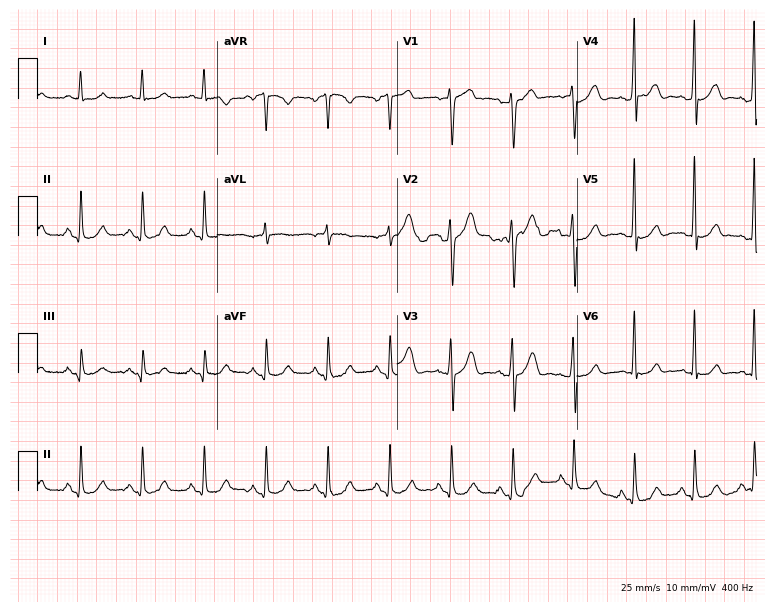
12-lead ECG (7.3-second recording at 400 Hz) from a 78-year-old male patient. Labelled as a normal ECG.